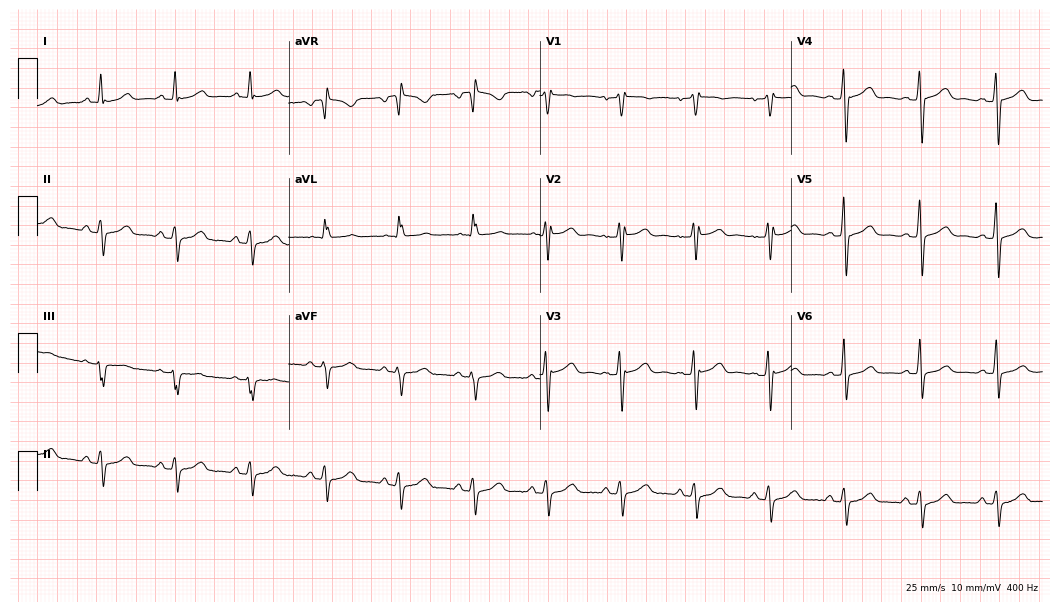
Electrocardiogram, a woman, 56 years old. Of the six screened findings (first-degree AV block, right bundle branch block (RBBB), left bundle branch block (LBBB), sinus bradycardia, atrial fibrillation (AF), sinus tachycardia), none is recorded. Other findings, if any, are not listed.